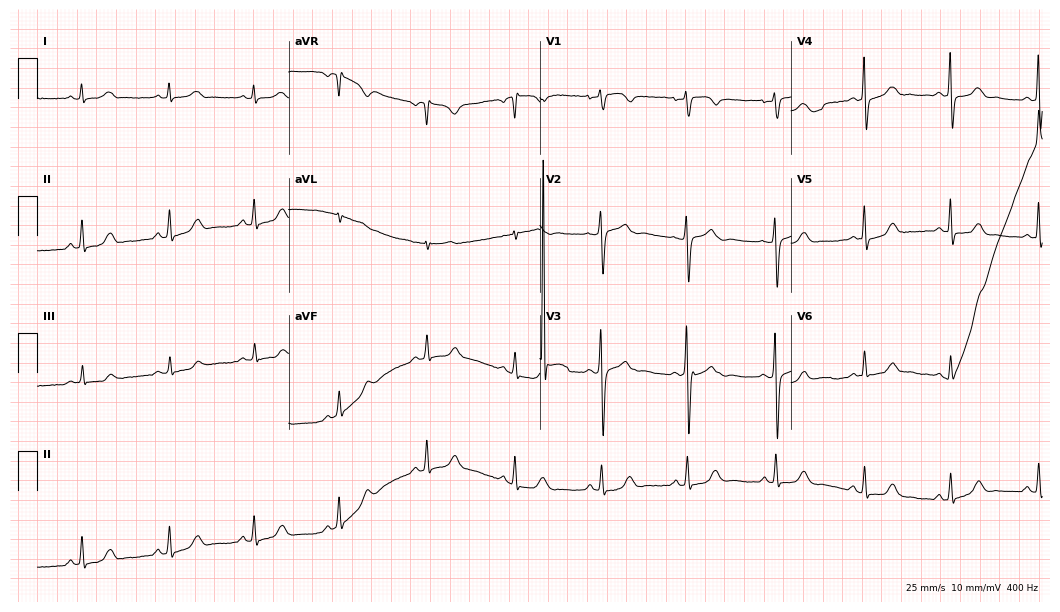
12-lead ECG from a 51-year-old female patient. Labelled as a normal ECG.